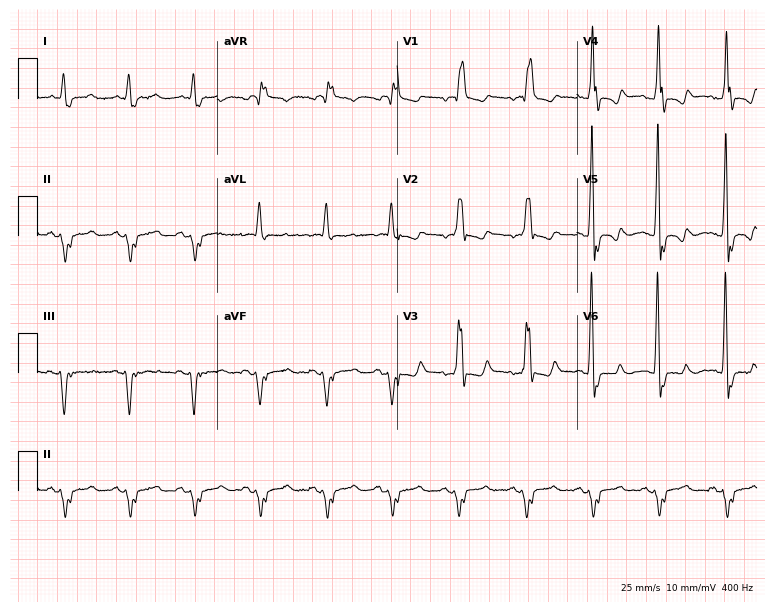
Electrocardiogram (7.3-second recording at 400 Hz), a male patient, 78 years old. Interpretation includes right bundle branch block.